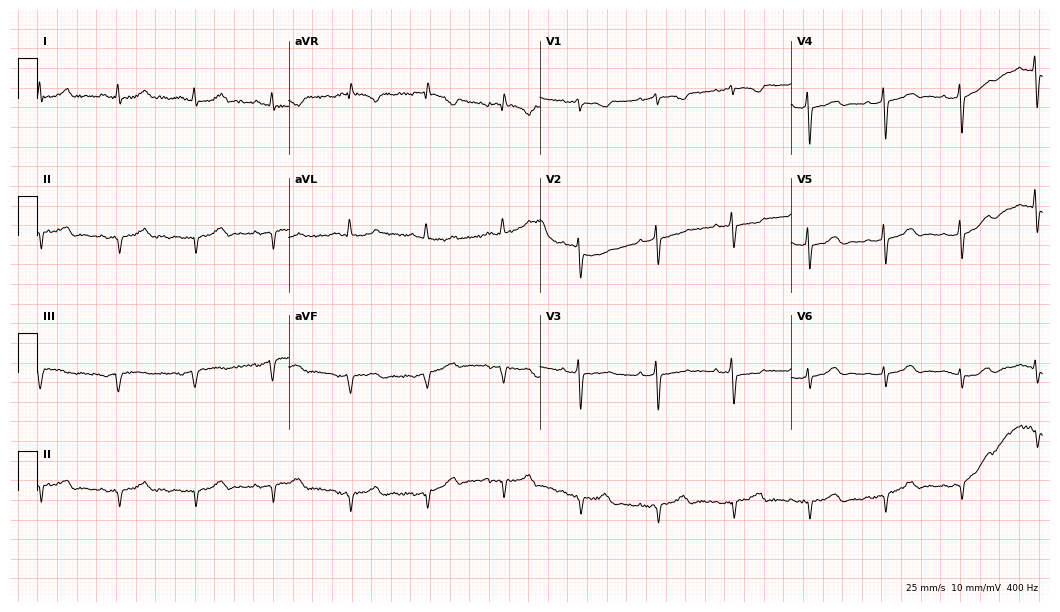
Electrocardiogram (10.2-second recording at 400 Hz), an 84-year-old man. Of the six screened findings (first-degree AV block, right bundle branch block, left bundle branch block, sinus bradycardia, atrial fibrillation, sinus tachycardia), none is recorded. Other findings, if any, are not listed.